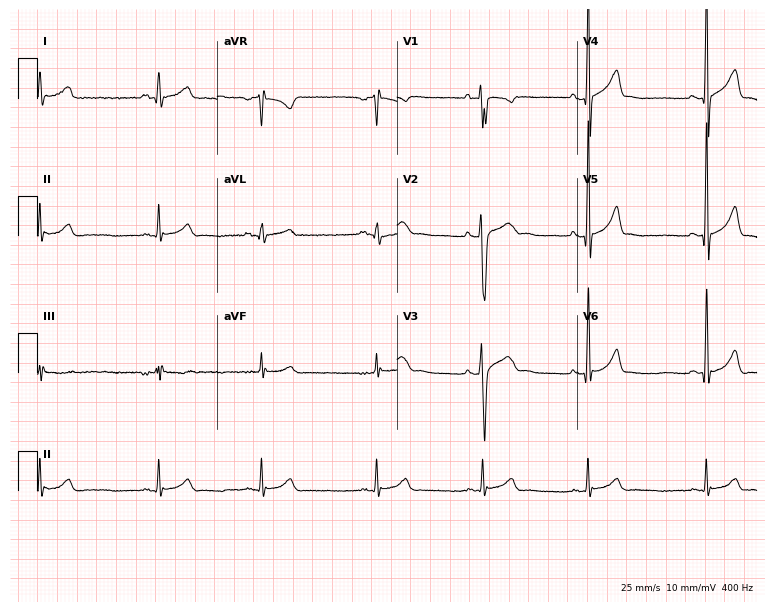
Resting 12-lead electrocardiogram (7.3-second recording at 400 Hz). Patient: a male, 20 years old. None of these six findings is recorded: first-degree AV block, right bundle branch block, left bundle branch block, sinus bradycardia, atrial fibrillation, sinus tachycardia. Other findings, if any, are not listed.